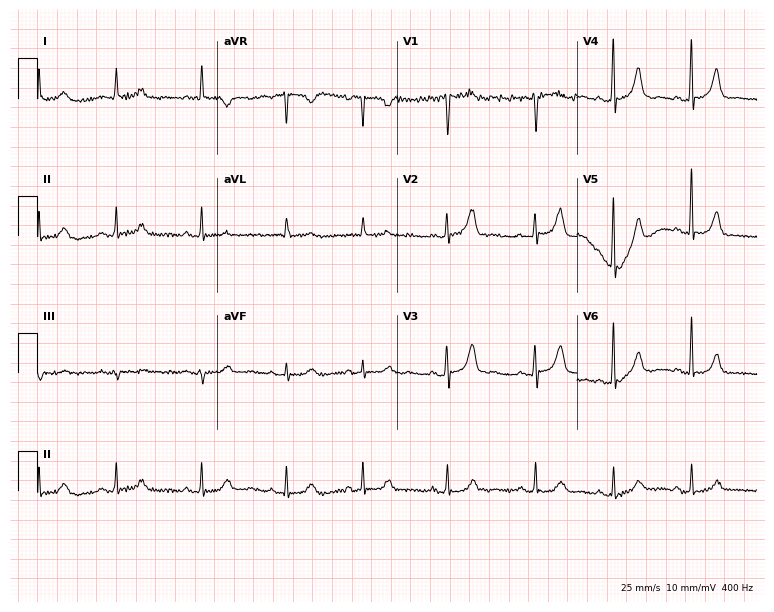
Resting 12-lead electrocardiogram. Patient: a 46-year-old woman. None of these six findings is recorded: first-degree AV block, right bundle branch block, left bundle branch block, sinus bradycardia, atrial fibrillation, sinus tachycardia. Findings outside these six are not listed.